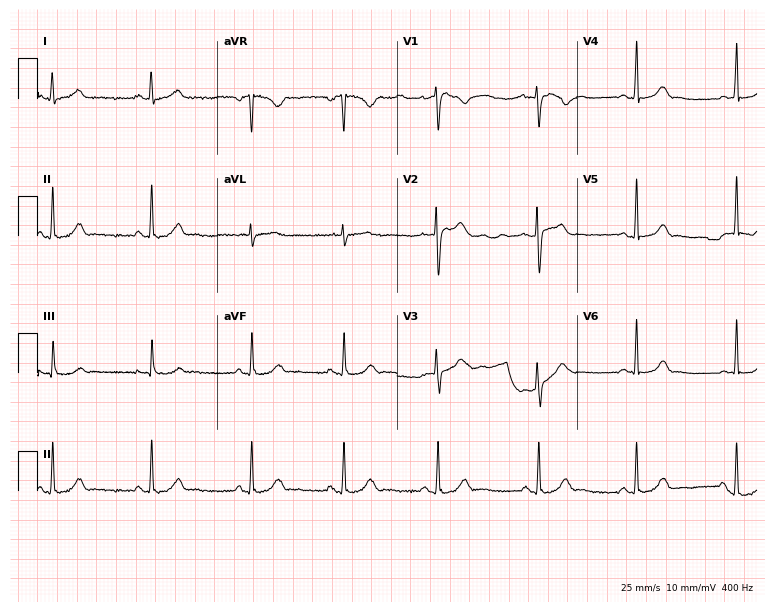
ECG (7.3-second recording at 400 Hz) — a female, 21 years old. Screened for six findings — first-degree AV block, right bundle branch block, left bundle branch block, sinus bradycardia, atrial fibrillation, sinus tachycardia — none is recorded. Only these six findings were labelled.